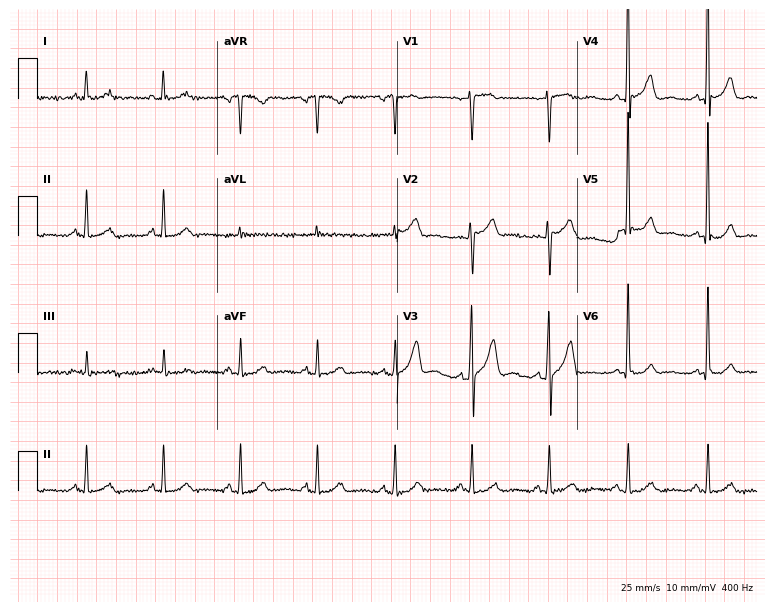
ECG — a 59-year-old male patient. Labelled as a normal ECG.